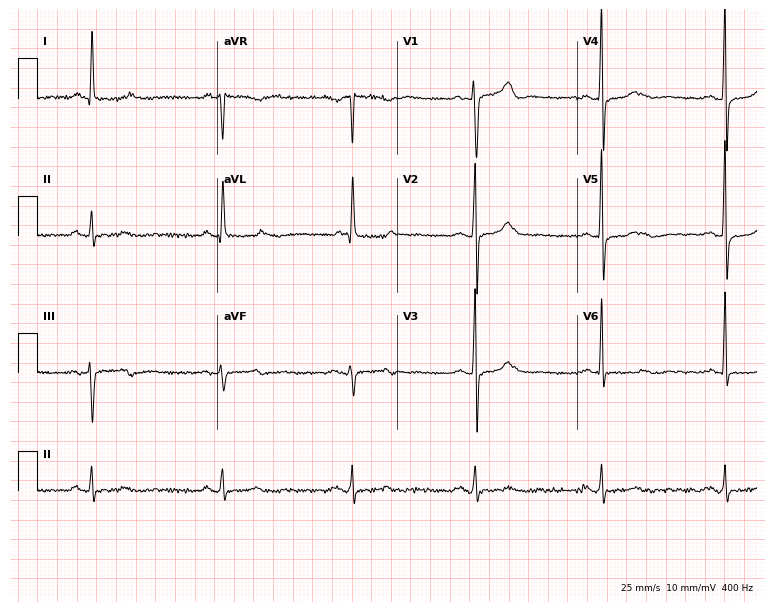
Standard 12-lead ECG recorded from a 51-year-old male (7.3-second recording at 400 Hz). The tracing shows sinus bradycardia (a sinus rate of 50 beats per minute or less).